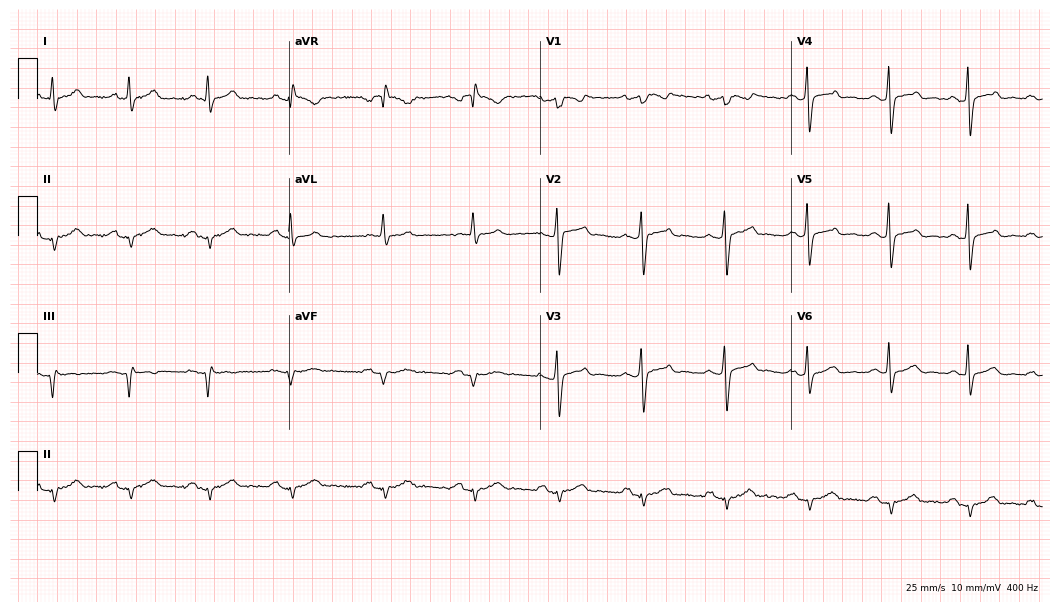
Electrocardiogram (10.2-second recording at 400 Hz), a male patient, 49 years old. Of the six screened findings (first-degree AV block, right bundle branch block (RBBB), left bundle branch block (LBBB), sinus bradycardia, atrial fibrillation (AF), sinus tachycardia), none is recorded.